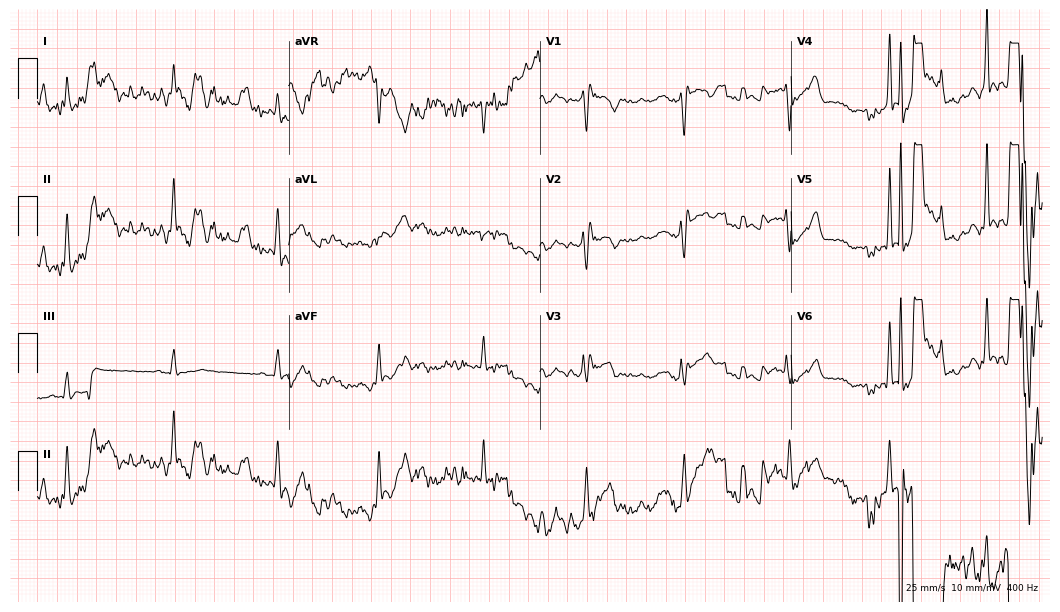
Resting 12-lead electrocardiogram (10.2-second recording at 400 Hz). Patient: a 24-year-old man. None of these six findings is recorded: first-degree AV block, right bundle branch block, left bundle branch block, sinus bradycardia, atrial fibrillation, sinus tachycardia.